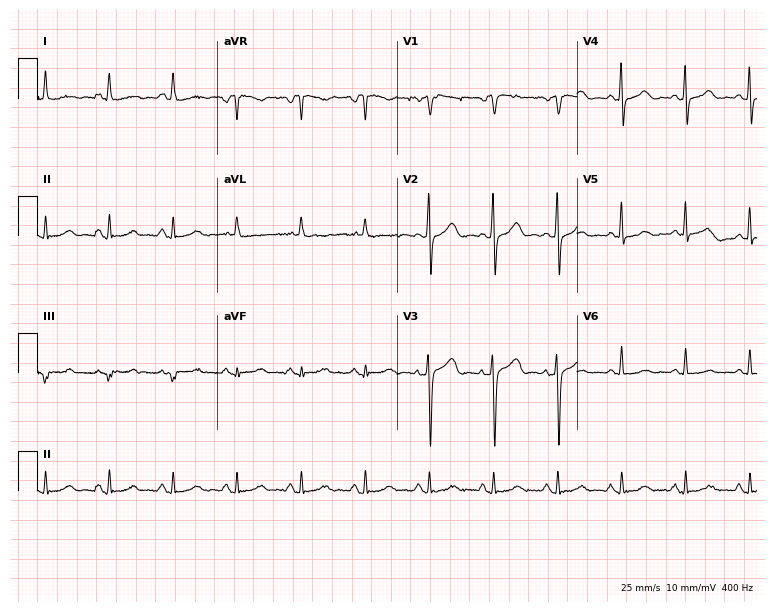
Standard 12-lead ECG recorded from a woman, 68 years old (7.3-second recording at 400 Hz). None of these six findings is recorded: first-degree AV block, right bundle branch block, left bundle branch block, sinus bradycardia, atrial fibrillation, sinus tachycardia. Only these six findings were labelled.